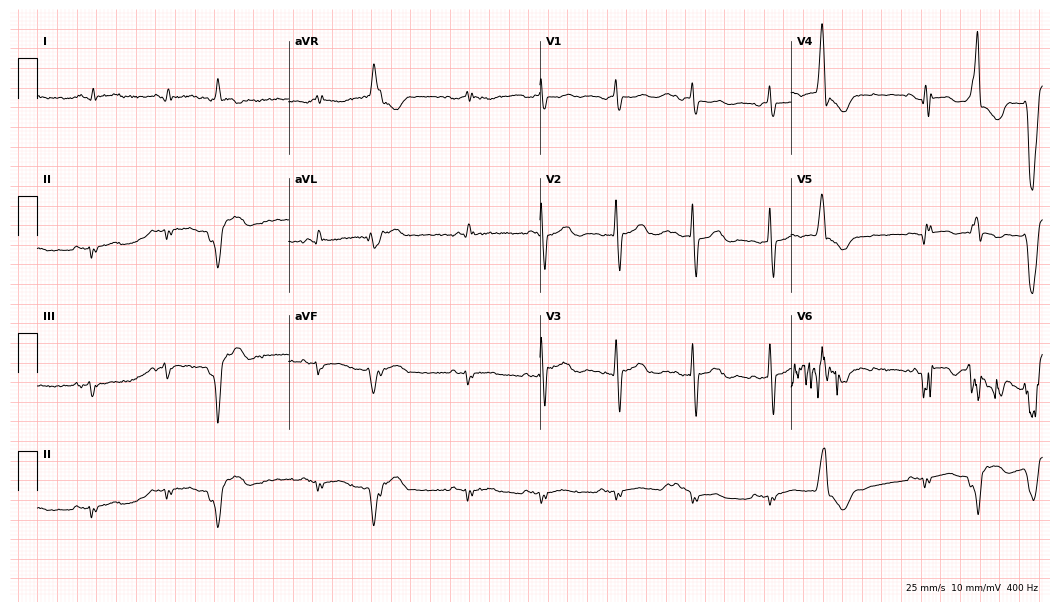
Resting 12-lead electrocardiogram. Patient: a male, 74 years old. None of these six findings is recorded: first-degree AV block, right bundle branch block, left bundle branch block, sinus bradycardia, atrial fibrillation, sinus tachycardia. Other findings, if any, are not listed.